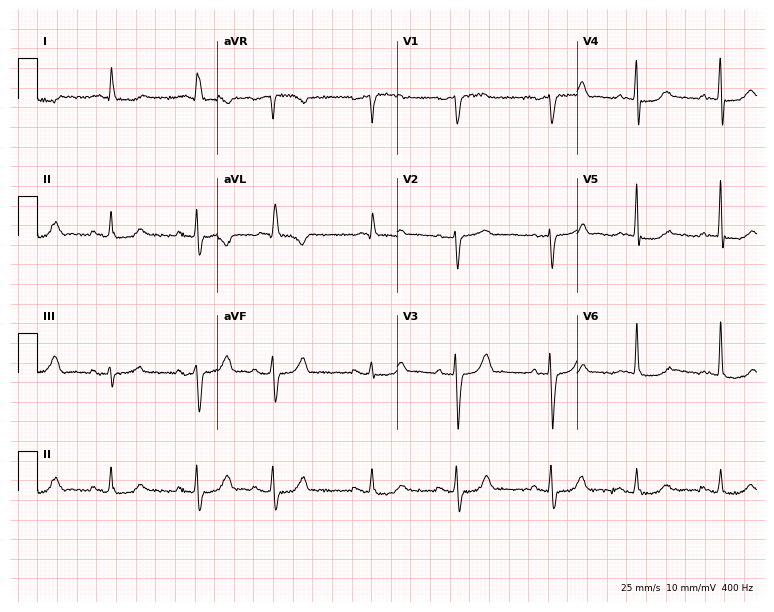
12-lead ECG from a male, 82 years old. Labelled as a normal ECG.